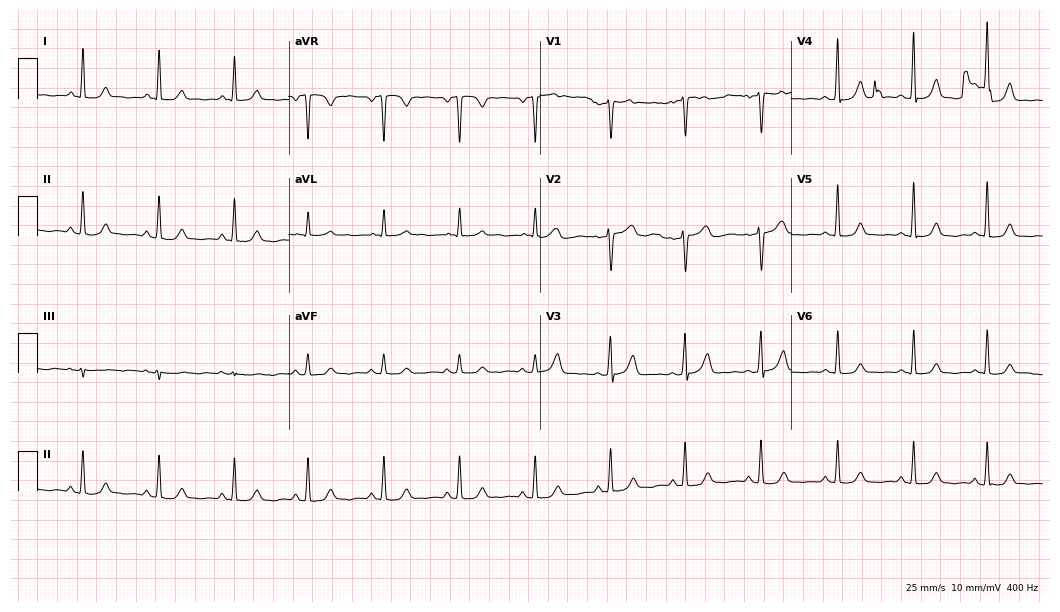
Resting 12-lead electrocardiogram. Patient: a 45-year-old woman. Read as a normal ECG.